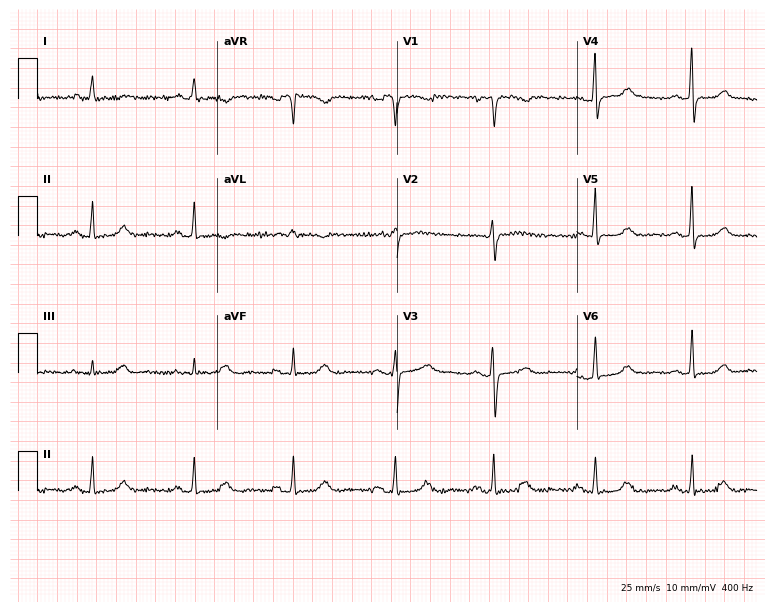
Resting 12-lead electrocardiogram (7.3-second recording at 400 Hz). Patient: a female, 53 years old. Read as a normal ECG.